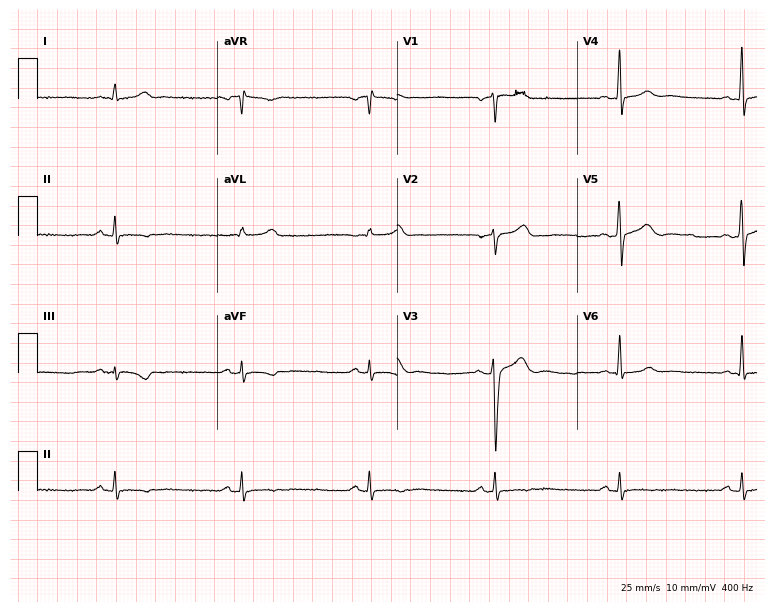
Resting 12-lead electrocardiogram (7.3-second recording at 400 Hz). Patient: a male, 48 years old. The tracing shows sinus bradycardia (a sinus rate of 50 beats per minute or less).